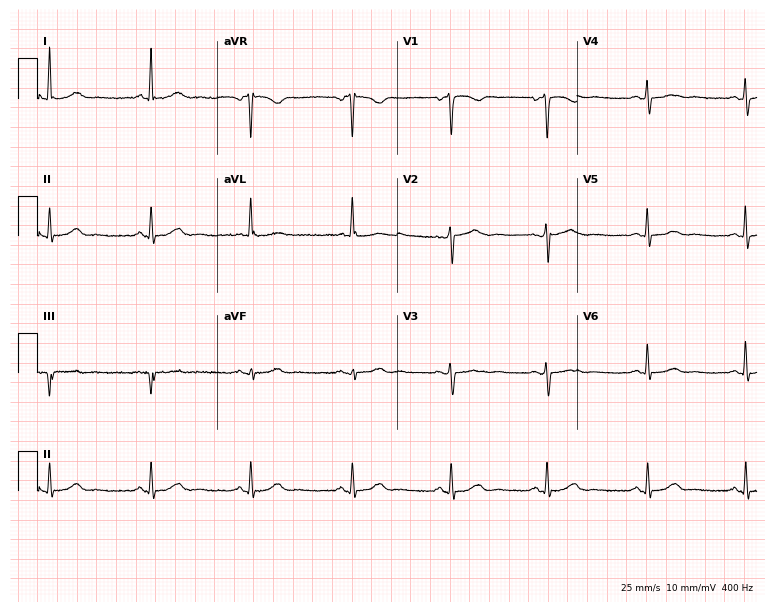
ECG — a female patient, 52 years old. Labelled as a normal ECG.